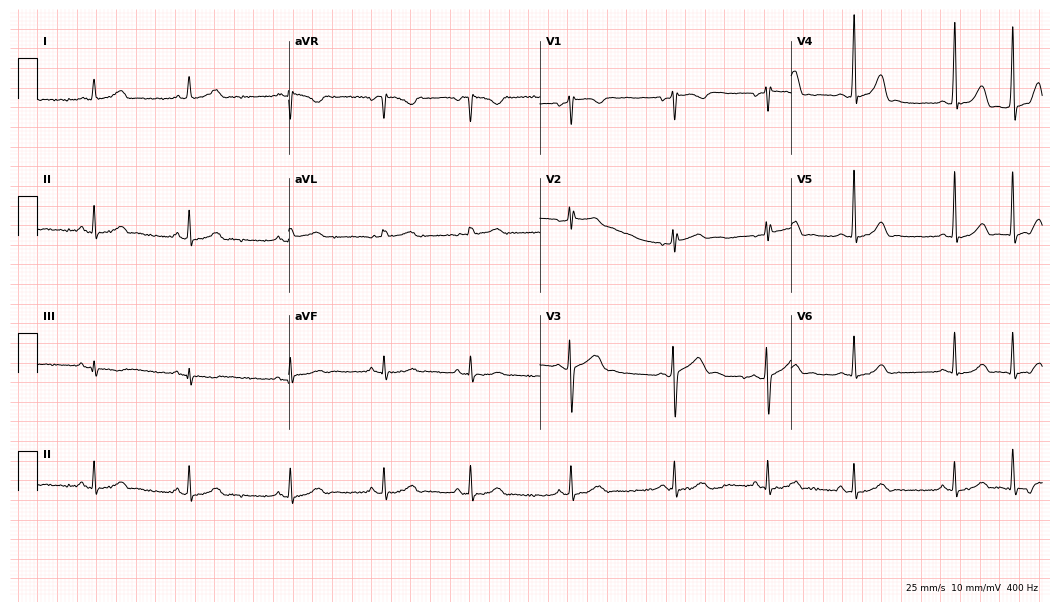
Standard 12-lead ECG recorded from a 29-year-old female (10.2-second recording at 400 Hz). None of these six findings is recorded: first-degree AV block, right bundle branch block, left bundle branch block, sinus bradycardia, atrial fibrillation, sinus tachycardia.